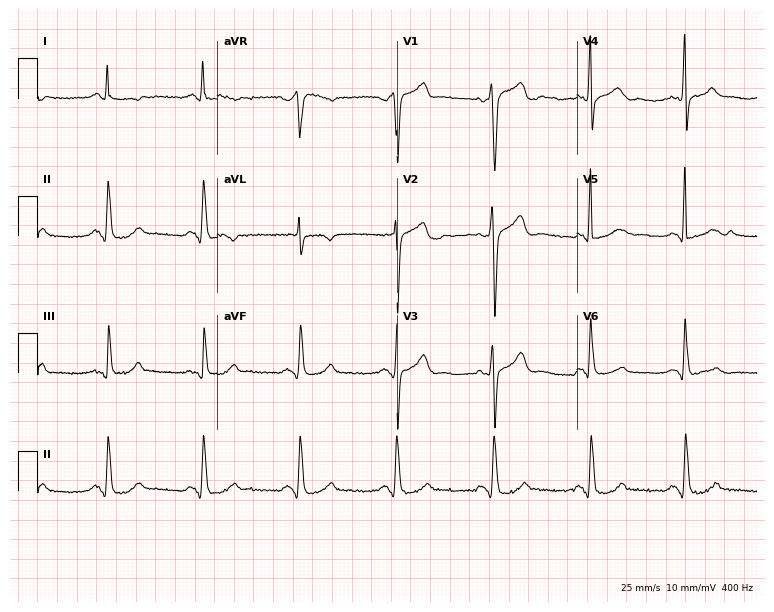
Electrocardiogram (7.3-second recording at 400 Hz), a 57-year-old male patient. Of the six screened findings (first-degree AV block, right bundle branch block (RBBB), left bundle branch block (LBBB), sinus bradycardia, atrial fibrillation (AF), sinus tachycardia), none is recorded. Other findings, if any, are not listed.